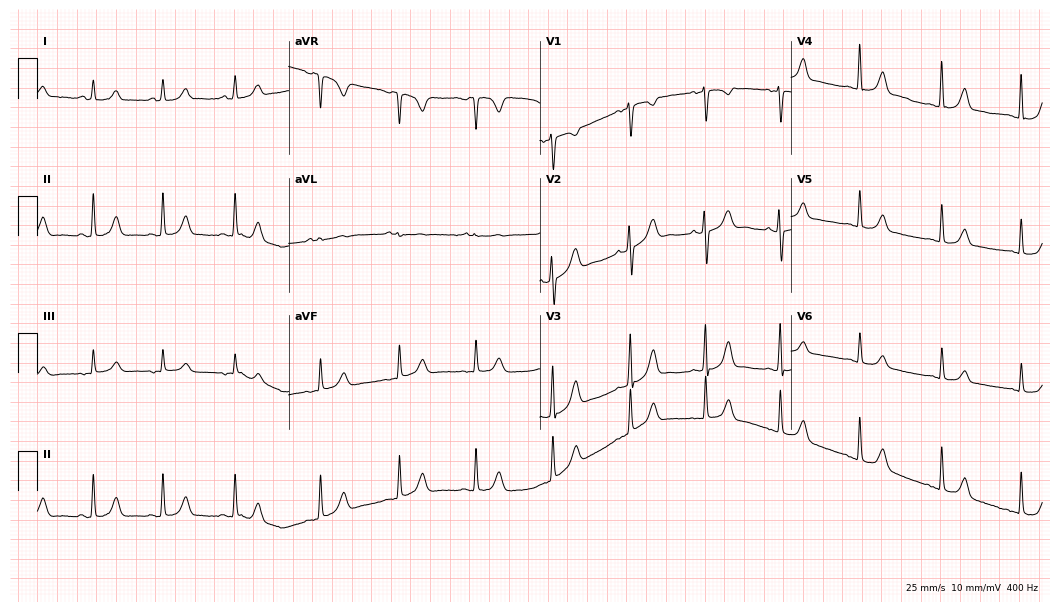
12-lead ECG from a 23-year-old female patient (10.2-second recording at 400 Hz). Recorded interpretation: within normal limits.